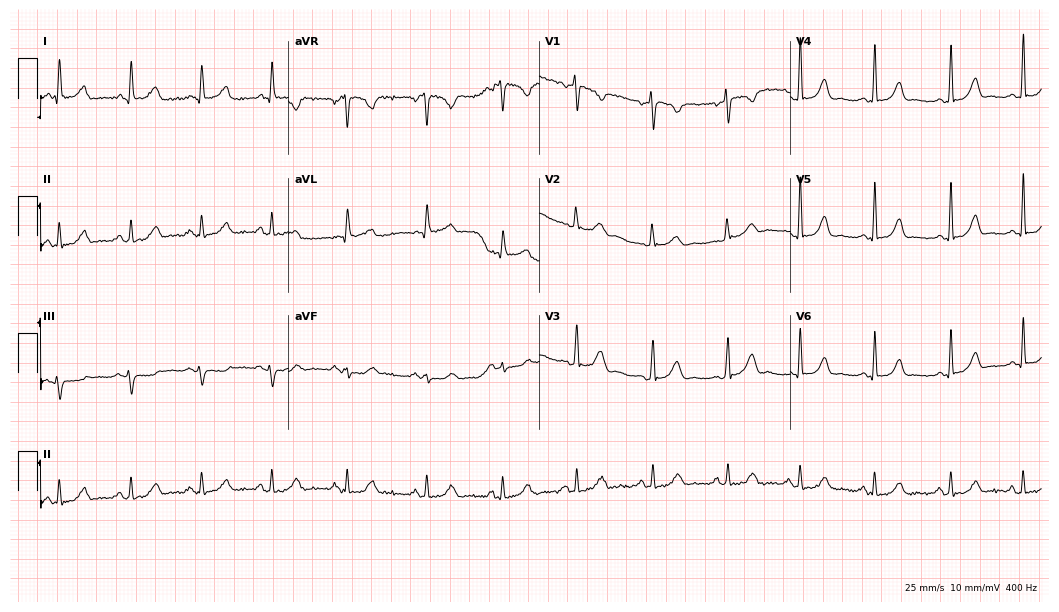
Standard 12-lead ECG recorded from a female patient, 29 years old. Read as a normal ECG.